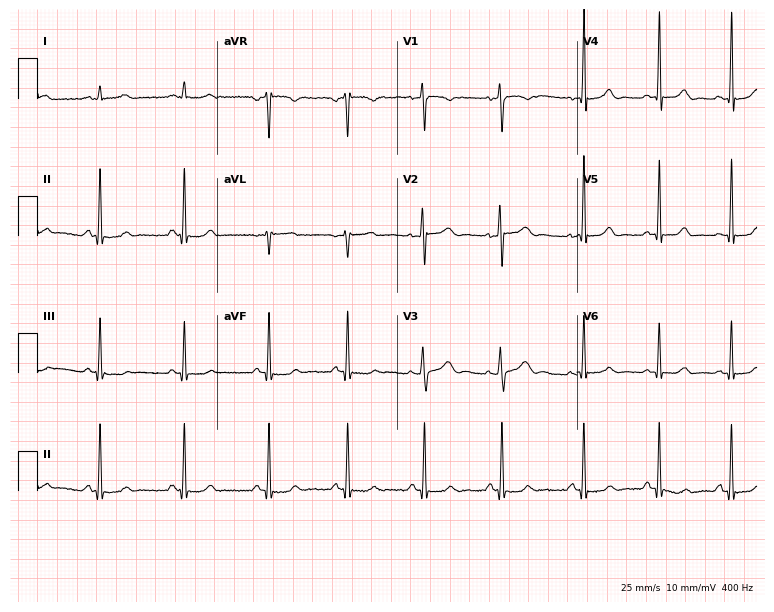
Resting 12-lead electrocardiogram. Patient: a 24-year-old woman. Read as a normal ECG.